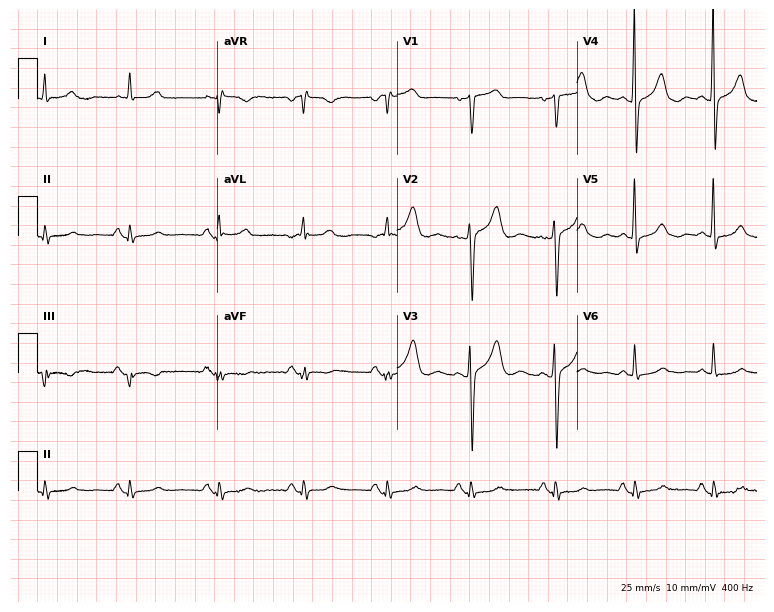
Standard 12-lead ECG recorded from a 72-year-old female patient (7.3-second recording at 400 Hz). None of these six findings is recorded: first-degree AV block, right bundle branch block (RBBB), left bundle branch block (LBBB), sinus bradycardia, atrial fibrillation (AF), sinus tachycardia.